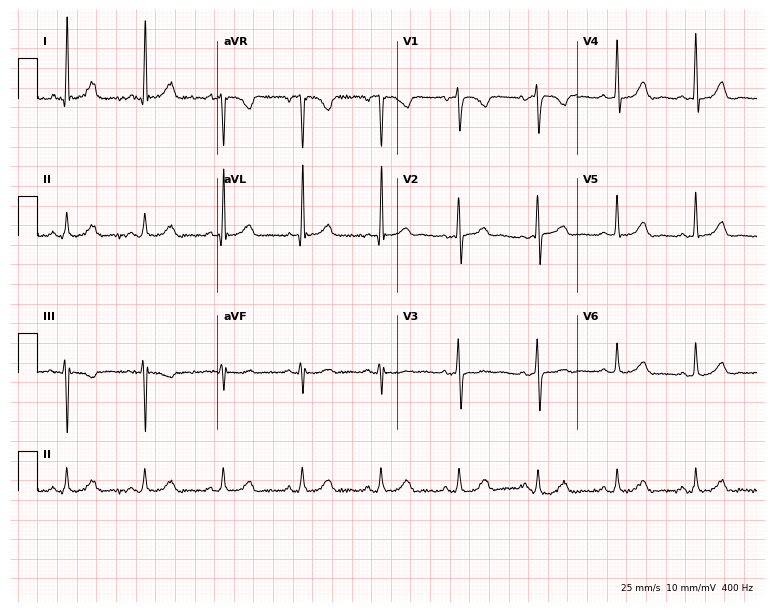
ECG (7.3-second recording at 400 Hz) — an 80-year-old female patient. Labelled as a normal ECG.